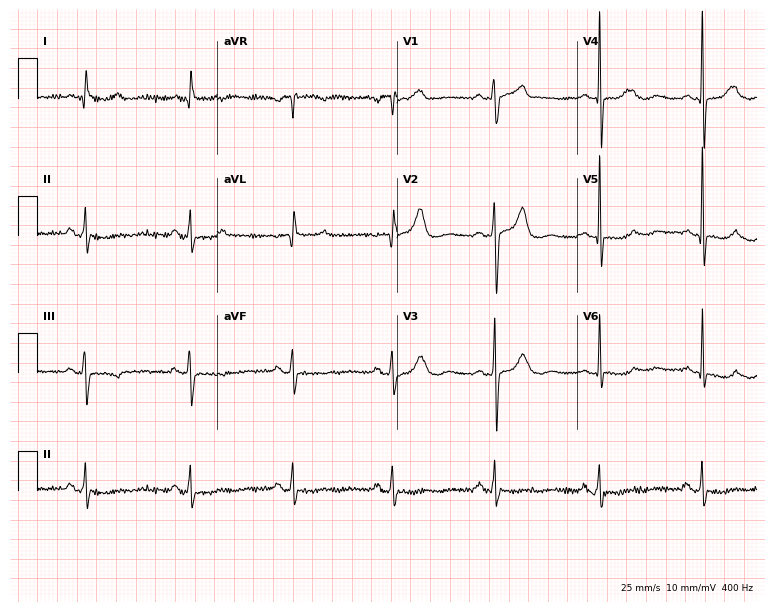
Standard 12-lead ECG recorded from a male, 63 years old (7.3-second recording at 400 Hz). None of these six findings is recorded: first-degree AV block, right bundle branch block (RBBB), left bundle branch block (LBBB), sinus bradycardia, atrial fibrillation (AF), sinus tachycardia. Only these six findings were labelled.